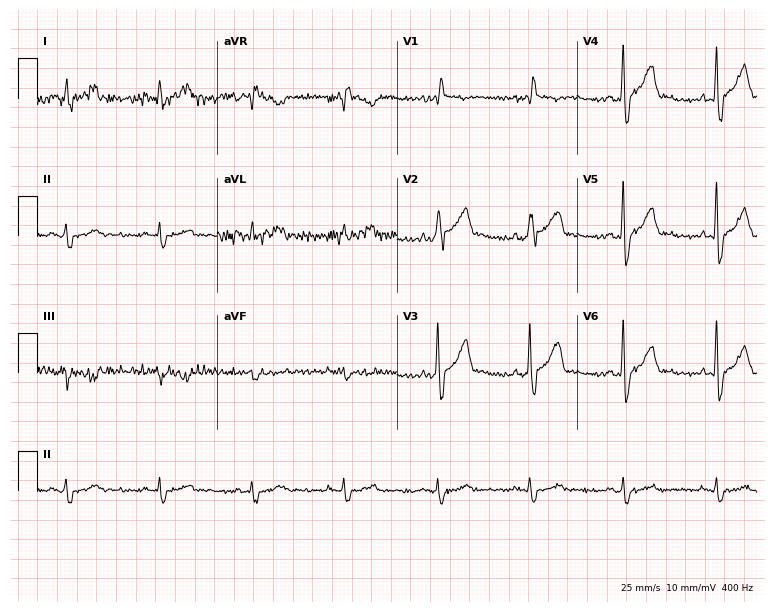
Standard 12-lead ECG recorded from a man, 67 years old. None of these six findings is recorded: first-degree AV block, right bundle branch block, left bundle branch block, sinus bradycardia, atrial fibrillation, sinus tachycardia. Other findings, if any, are not listed.